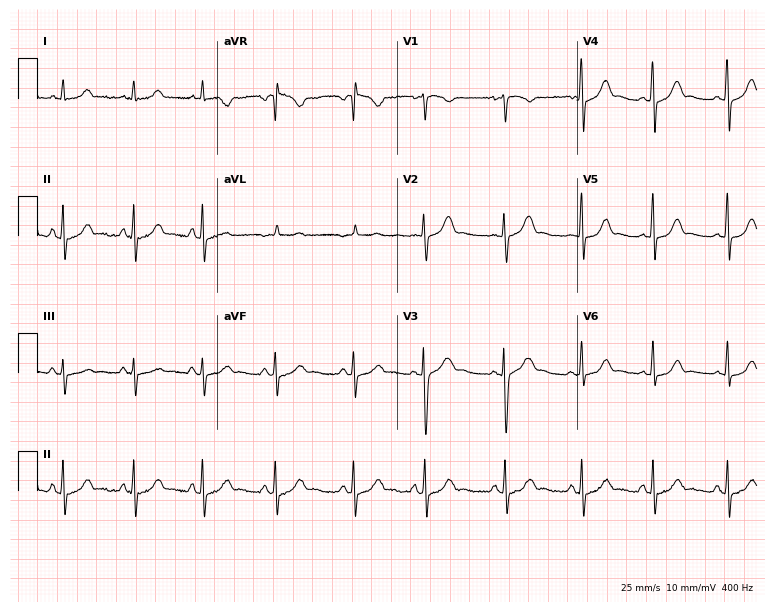
ECG — a female patient, 21 years old. Screened for six findings — first-degree AV block, right bundle branch block (RBBB), left bundle branch block (LBBB), sinus bradycardia, atrial fibrillation (AF), sinus tachycardia — none is recorded.